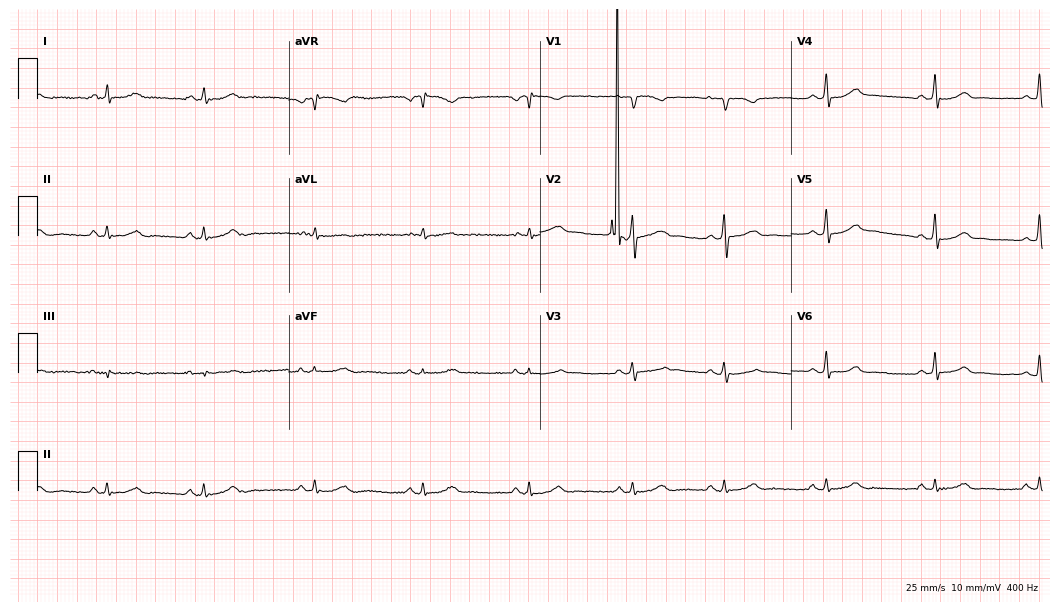
12-lead ECG from a female patient, 28 years old. Screened for six findings — first-degree AV block, right bundle branch block, left bundle branch block, sinus bradycardia, atrial fibrillation, sinus tachycardia — none is recorded. Only these six findings were labelled.